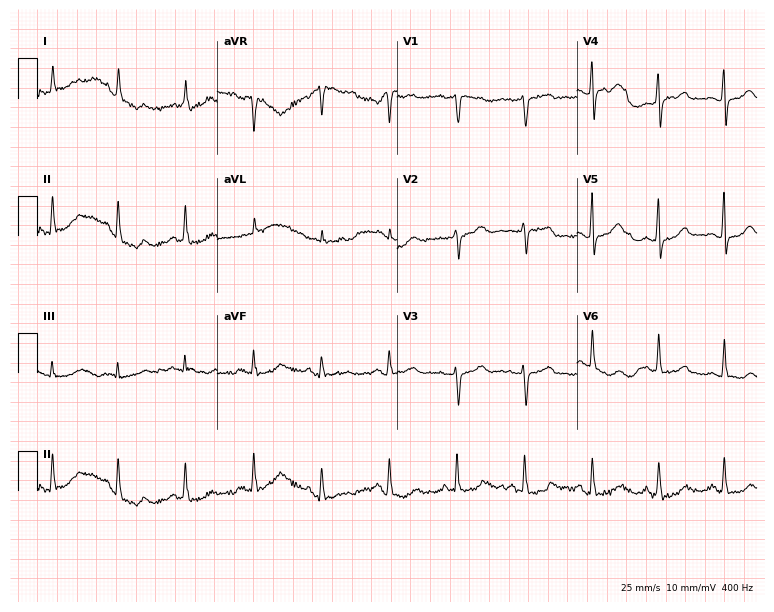
Standard 12-lead ECG recorded from a 60-year-old female patient (7.3-second recording at 400 Hz). None of these six findings is recorded: first-degree AV block, right bundle branch block, left bundle branch block, sinus bradycardia, atrial fibrillation, sinus tachycardia.